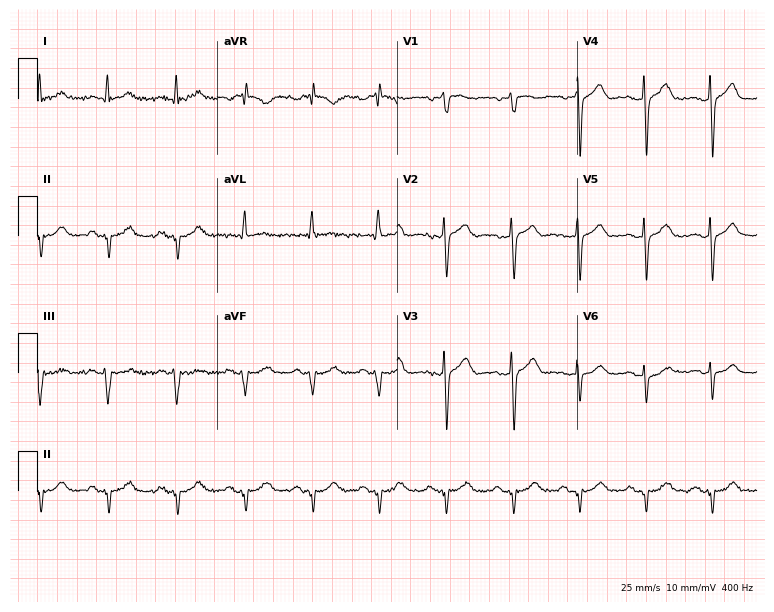
Electrocardiogram (7.3-second recording at 400 Hz), a man, 50 years old. Of the six screened findings (first-degree AV block, right bundle branch block, left bundle branch block, sinus bradycardia, atrial fibrillation, sinus tachycardia), none is recorded. Only these six findings were labelled.